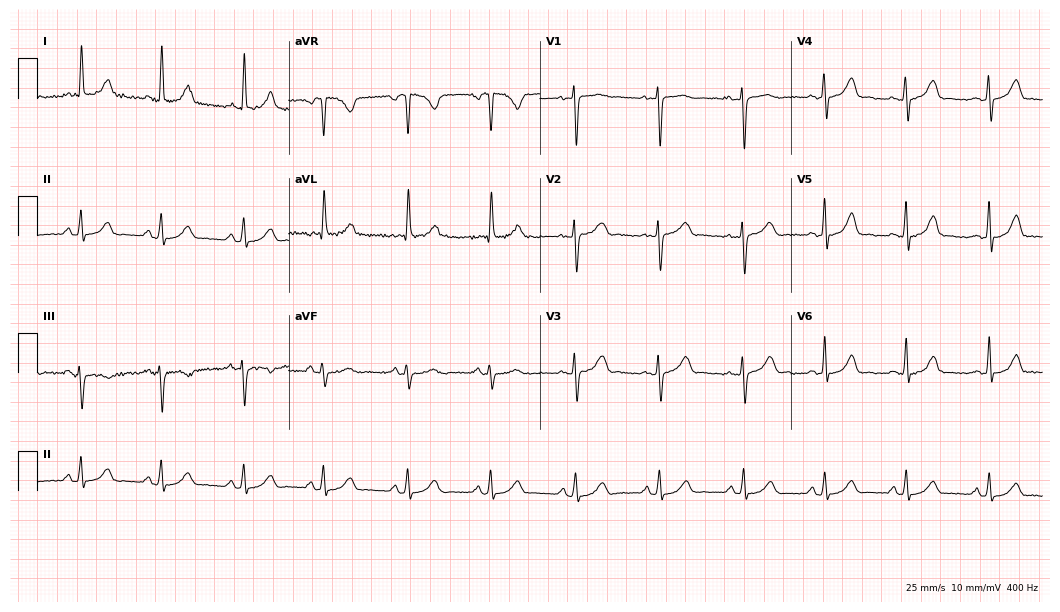
Standard 12-lead ECG recorded from a 39-year-old female patient. Read as a normal ECG.